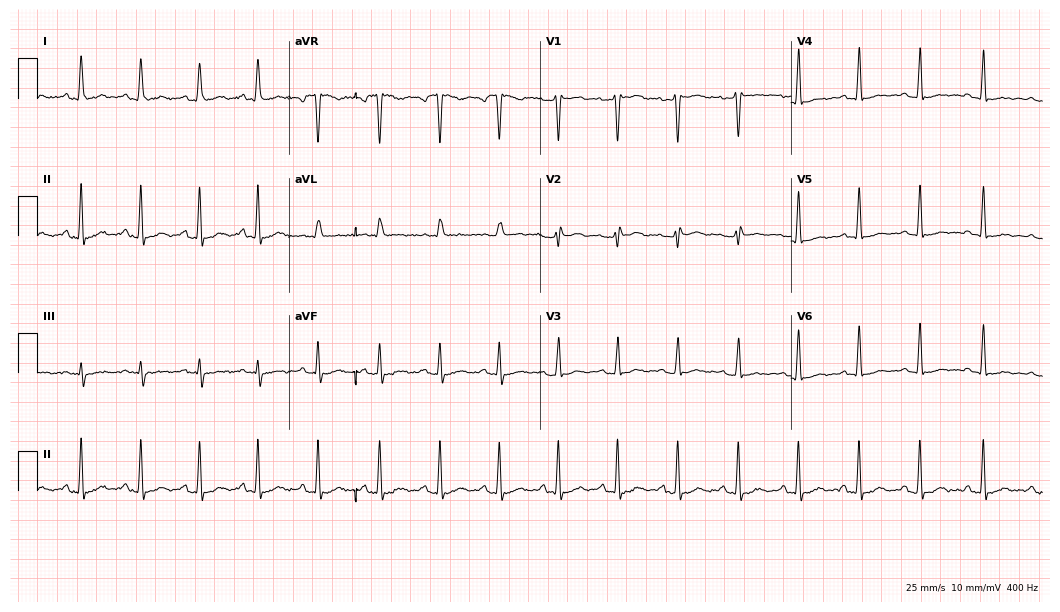
Standard 12-lead ECG recorded from a 25-year-old female. None of these six findings is recorded: first-degree AV block, right bundle branch block, left bundle branch block, sinus bradycardia, atrial fibrillation, sinus tachycardia.